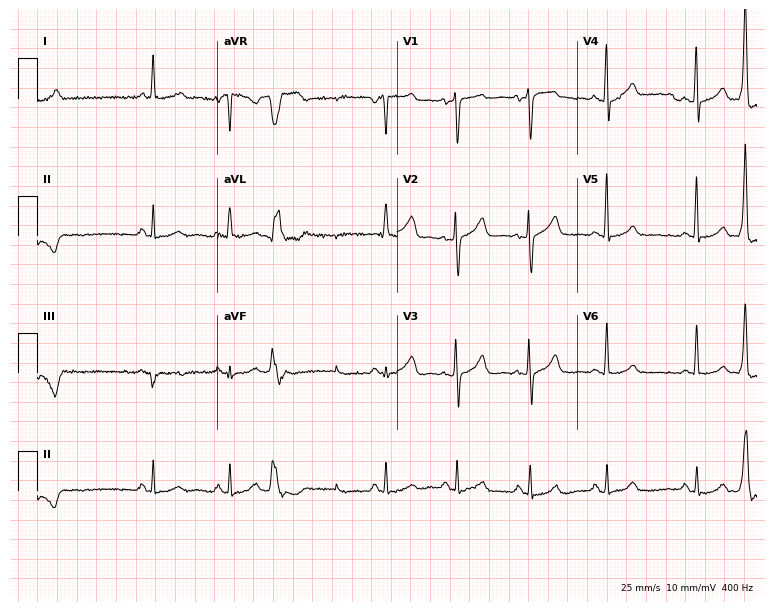
12-lead ECG from a woman, 60 years old. No first-degree AV block, right bundle branch block, left bundle branch block, sinus bradycardia, atrial fibrillation or sinus tachycardia recorded for this tracing. Other findings, if any, are not listed.